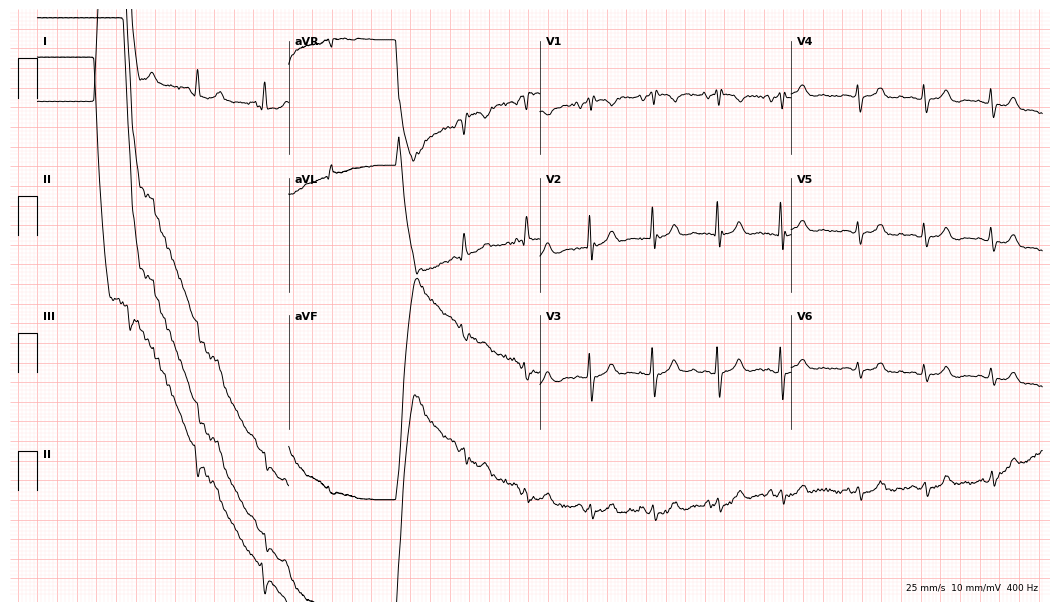
Resting 12-lead electrocardiogram (10.2-second recording at 400 Hz). Patient: a woman, 84 years old. None of these six findings is recorded: first-degree AV block, right bundle branch block, left bundle branch block, sinus bradycardia, atrial fibrillation, sinus tachycardia. Findings outside these six are not listed.